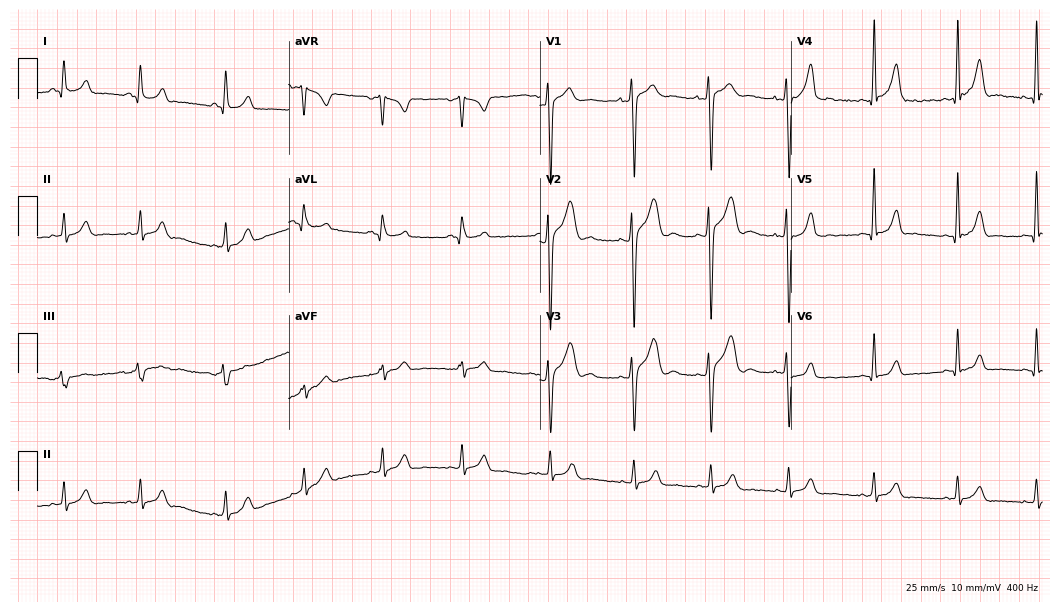
Resting 12-lead electrocardiogram. Patient: a male, 17 years old. Read as a normal ECG.